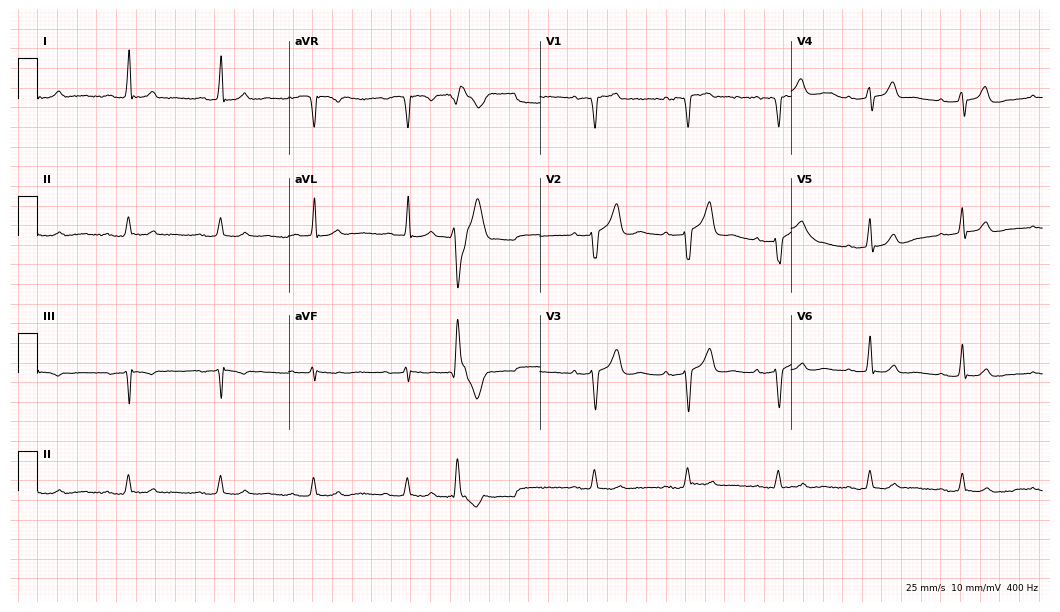
ECG — a man, 84 years old. Screened for six findings — first-degree AV block, right bundle branch block, left bundle branch block, sinus bradycardia, atrial fibrillation, sinus tachycardia — none is recorded.